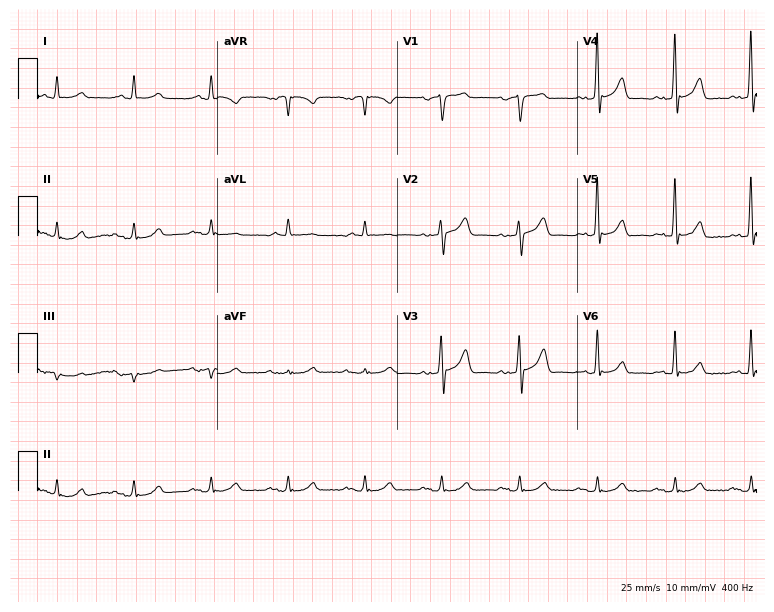
ECG (7.3-second recording at 400 Hz) — a man, 66 years old. Screened for six findings — first-degree AV block, right bundle branch block, left bundle branch block, sinus bradycardia, atrial fibrillation, sinus tachycardia — none is recorded.